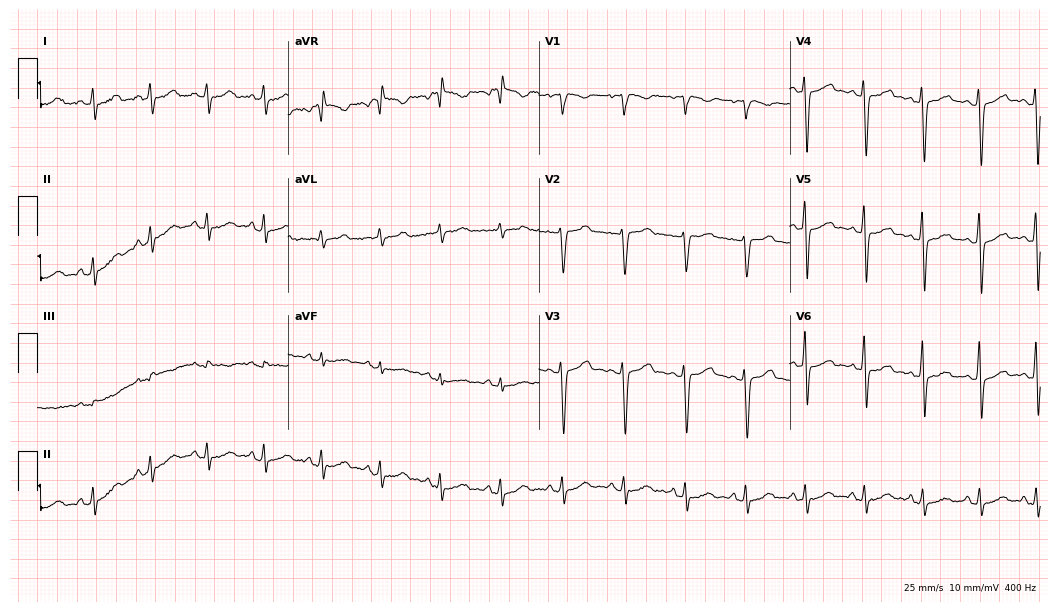
Standard 12-lead ECG recorded from a 48-year-old female. None of these six findings is recorded: first-degree AV block, right bundle branch block, left bundle branch block, sinus bradycardia, atrial fibrillation, sinus tachycardia. Other findings, if any, are not listed.